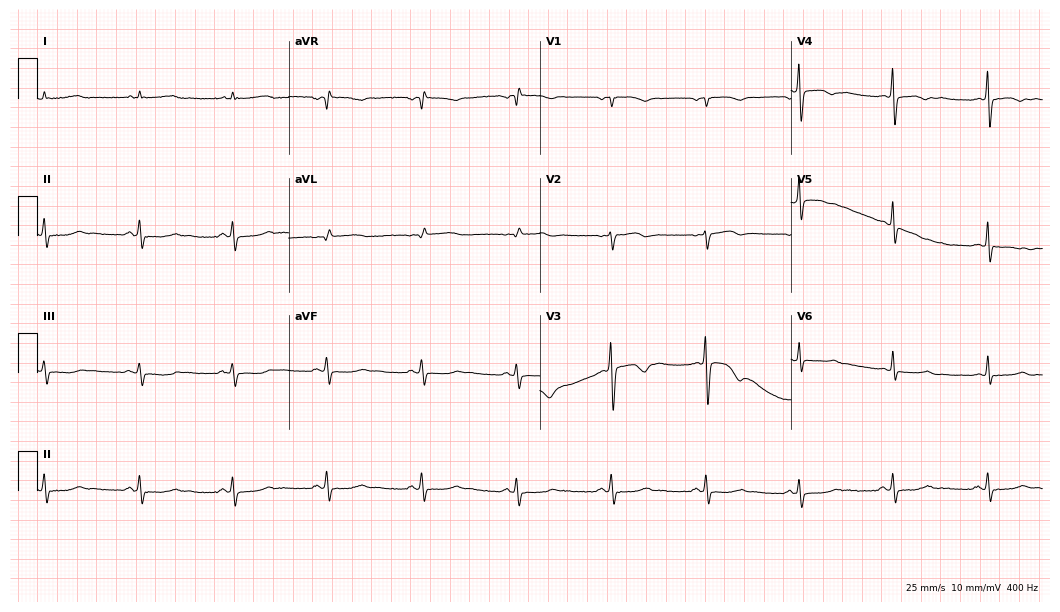
Electrocardiogram, a 48-year-old woman. Of the six screened findings (first-degree AV block, right bundle branch block, left bundle branch block, sinus bradycardia, atrial fibrillation, sinus tachycardia), none is recorded. Only these six findings were labelled.